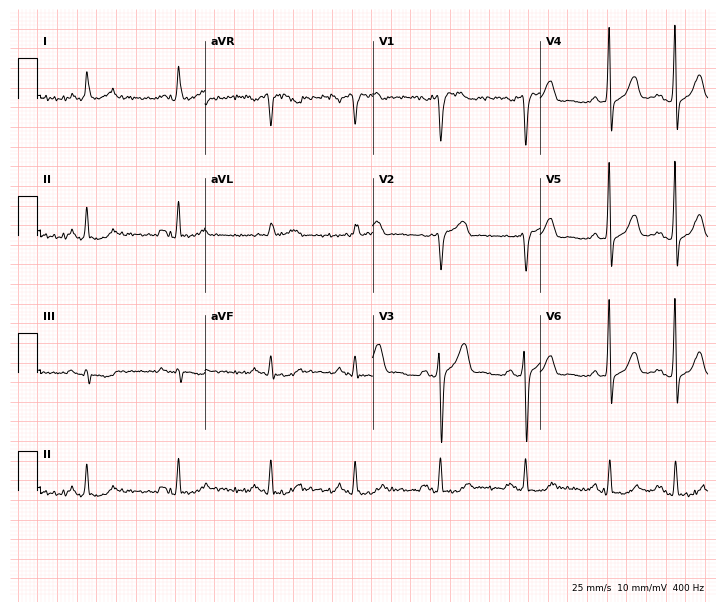
Electrocardiogram (6.8-second recording at 400 Hz), a man, 55 years old. Of the six screened findings (first-degree AV block, right bundle branch block, left bundle branch block, sinus bradycardia, atrial fibrillation, sinus tachycardia), none is recorded.